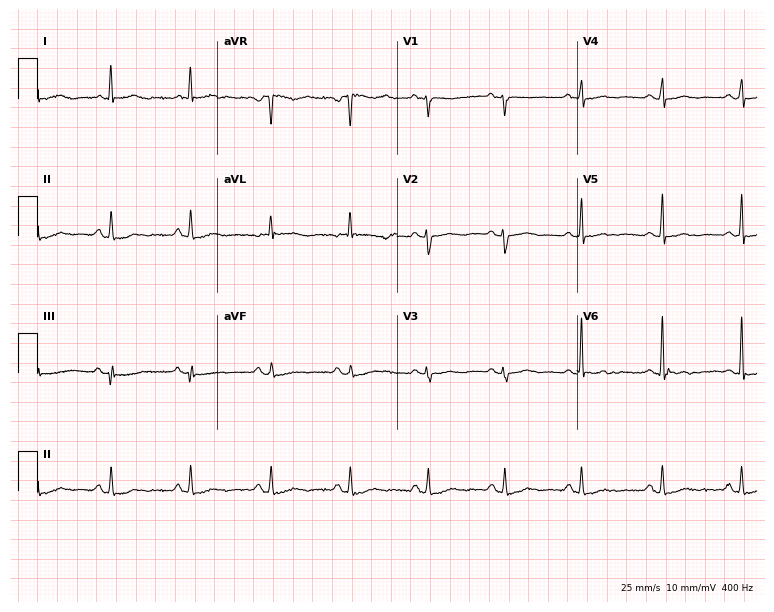
12-lead ECG (7.3-second recording at 400 Hz) from a female, 55 years old. Screened for six findings — first-degree AV block, right bundle branch block, left bundle branch block, sinus bradycardia, atrial fibrillation, sinus tachycardia — none is recorded. Findings outside these six are not listed.